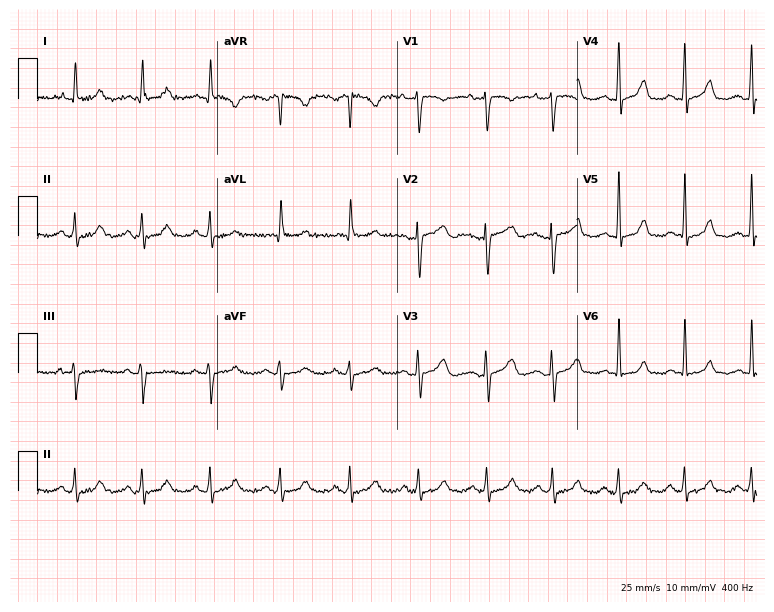
ECG (7.3-second recording at 400 Hz) — a 41-year-old female. Screened for six findings — first-degree AV block, right bundle branch block, left bundle branch block, sinus bradycardia, atrial fibrillation, sinus tachycardia — none is recorded.